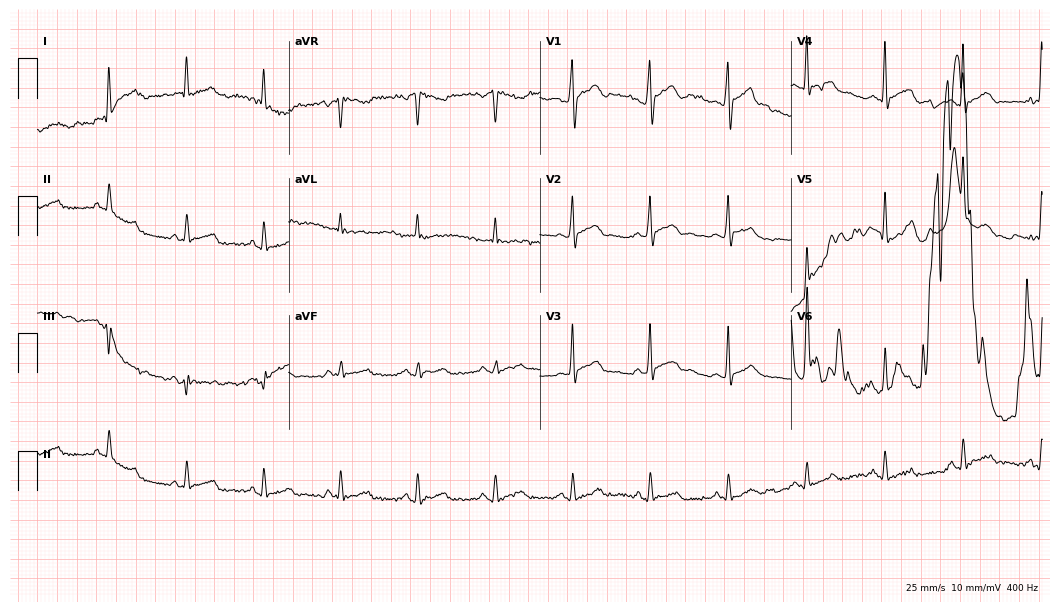
Electrocardiogram (10.2-second recording at 400 Hz), a man, 31 years old. Of the six screened findings (first-degree AV block, right bundle branch block, left bundle branch block, sinus bradycardia, atrial fibrillation, sinus tachycardia), none is recorded. Only these six findings were labelled.